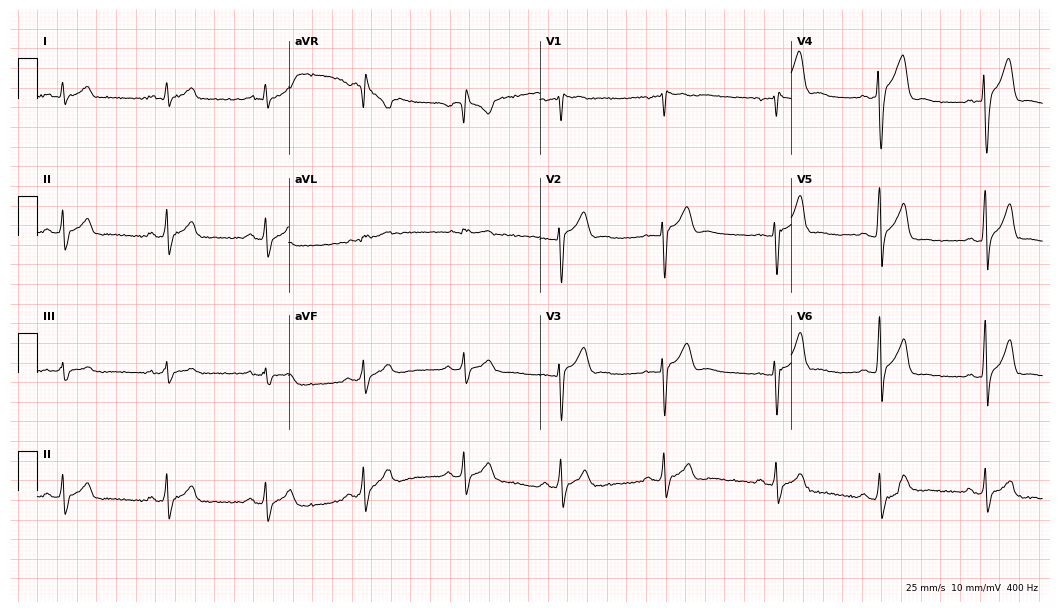
12-lead ECG (10.2-second recording at 400 Hz) from a male, 20 years old. Labelled as a normal ECG.